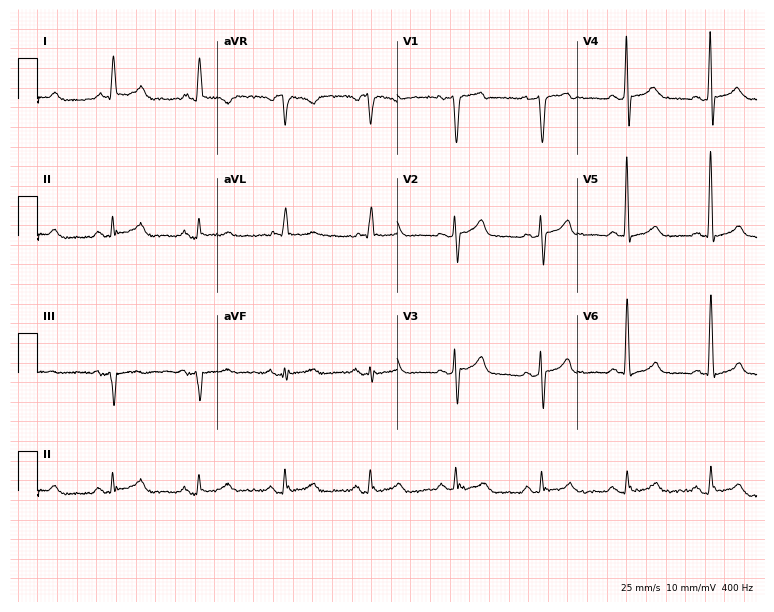
Resting 12-lead electrocardiogram (7.3-second recording at 400 Hz). Patient: a man, 66 years old. None of these six findings is recorded: first-degree AV block, right bundle branch block, left bundle branch block, sinus bradycardia, atrial fibrillation, sinus tachycardia.